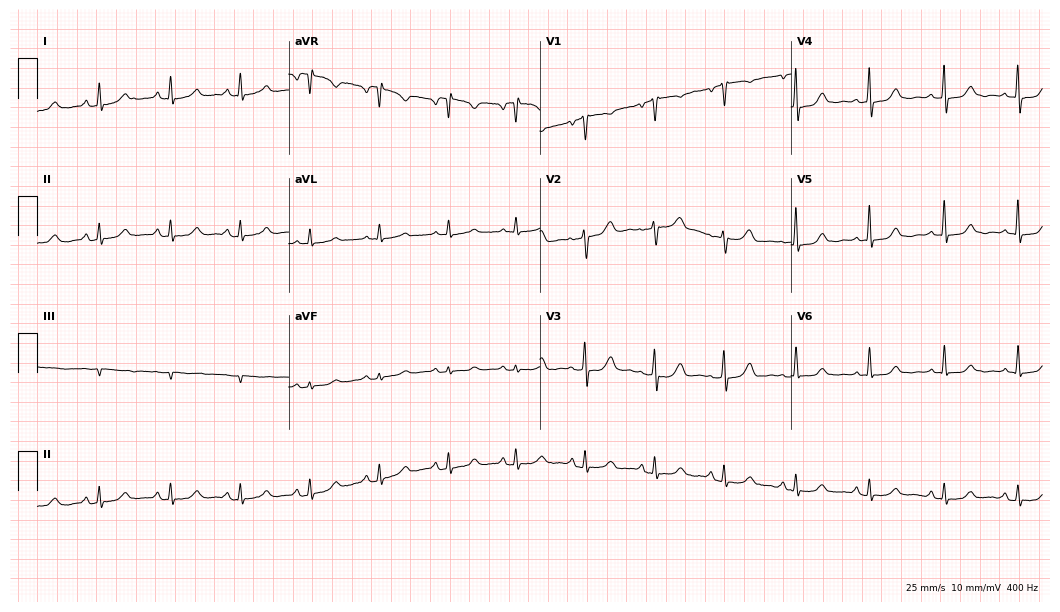
Resting 12-lead electrocardiogram. Patient: a 63-year-old woman. Read as a normal ECG.